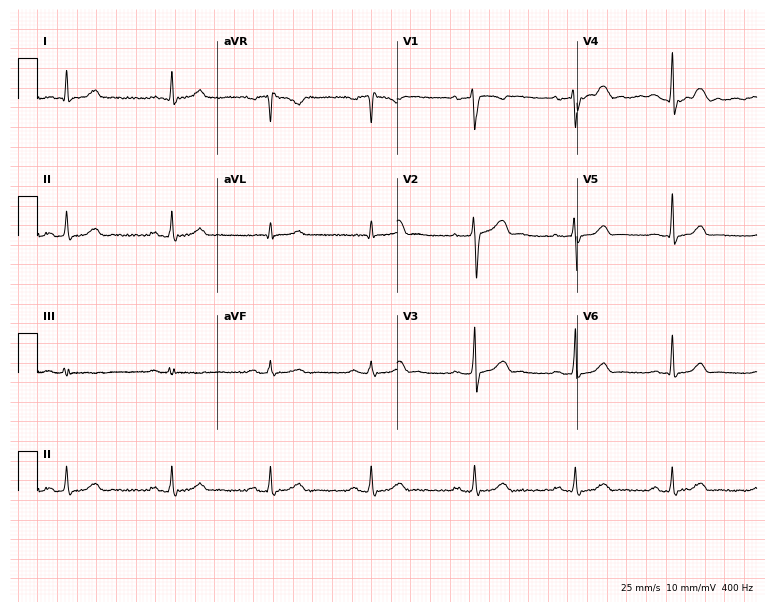
12-lead ECG from a male, 48 years old (7.3-second recording at 400 Hz). Recorded interpretation: within normal limits.